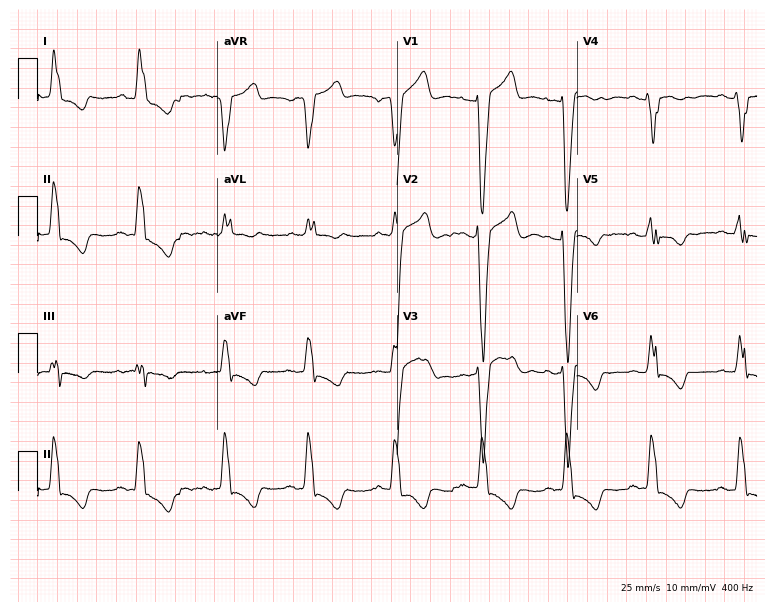
Standard 12-lead ECG recorded from a woman, 63 years old. The tracing shows left bundle branch block (LBBB).